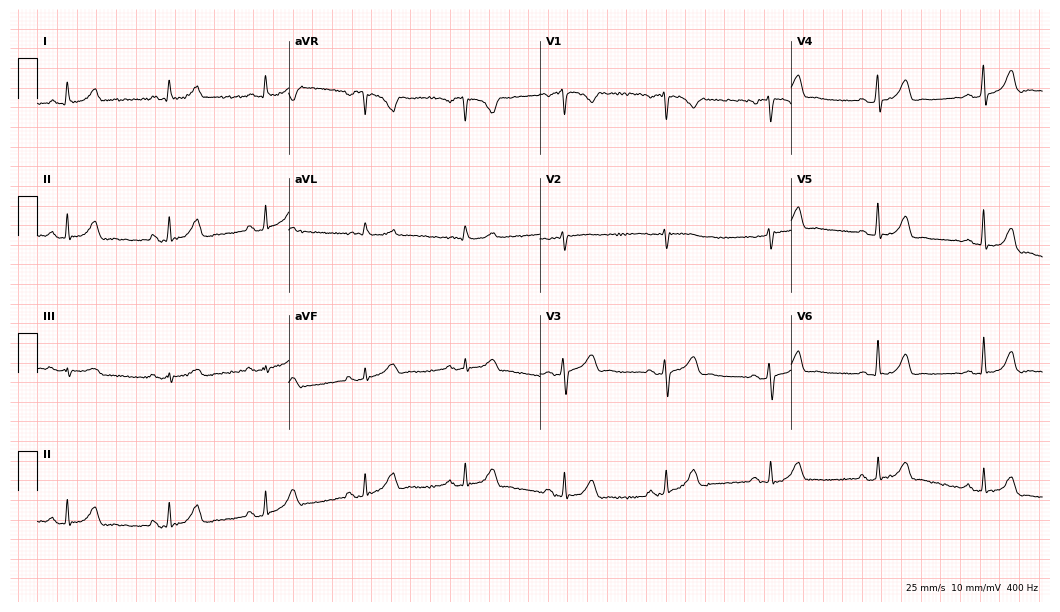
Resting 12-lead electrocardiogram (10.2-second recording at 400 Hz). Patient: a female, 58 years old. None of these six findings is recorded: first-degree AV block, right bundle branch block, left bundle branch block, sinus bradycardia, atrial fibrillation, sinus tachycardia.